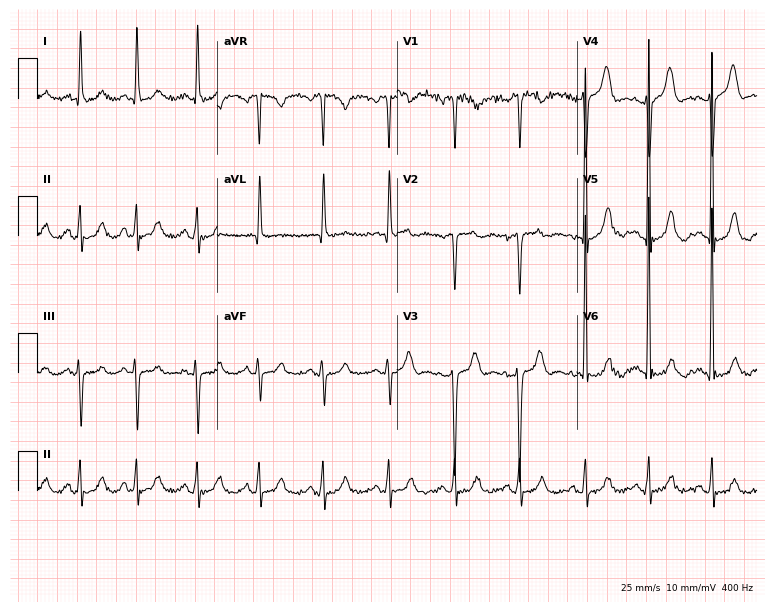
Standard 12-lead ECG recorded from a 74-year-old female. None of these six findings is recorded: first-degree AV block, right bundle branch block, left bundle branch block, sinus bradycardia, atrial fibrillation, sinus tachycardia. Findings outside these six are not listed.